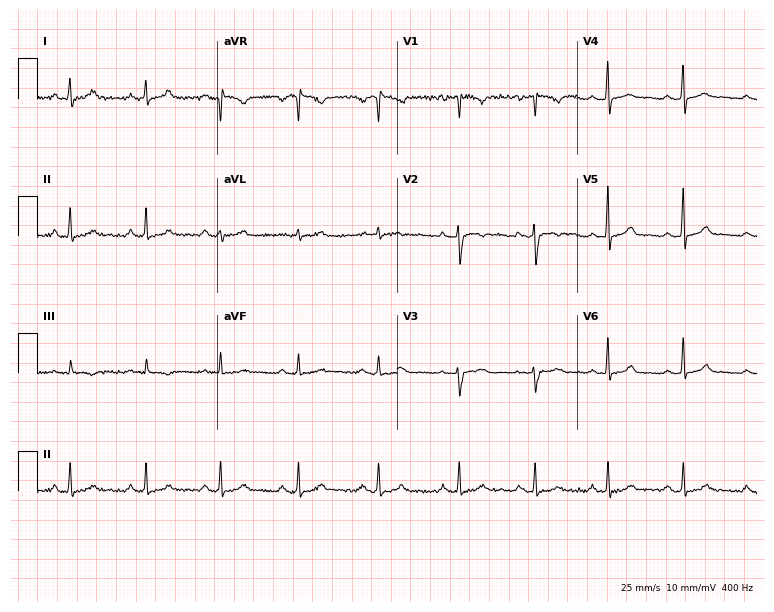
Electrocardiogram, a 20-year-old female patient. Overall reading on record: normal ECG.